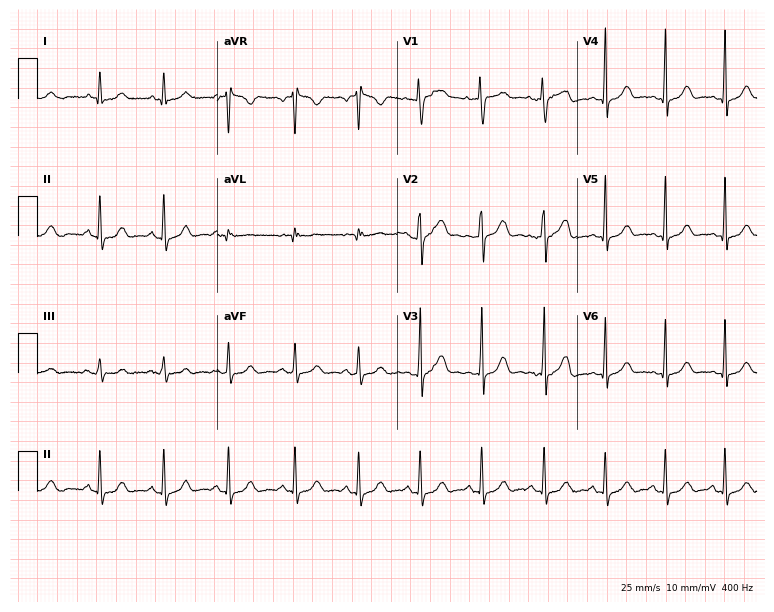
ECG — a 27-year-old female patient. Screened for six findings — first-degree AV block, right bundle branch block (RBBB), left bundle branch block (LBBB), sinus bradycardia, atrial fibrillation (AF), sinus tachycardia — none is recorded.